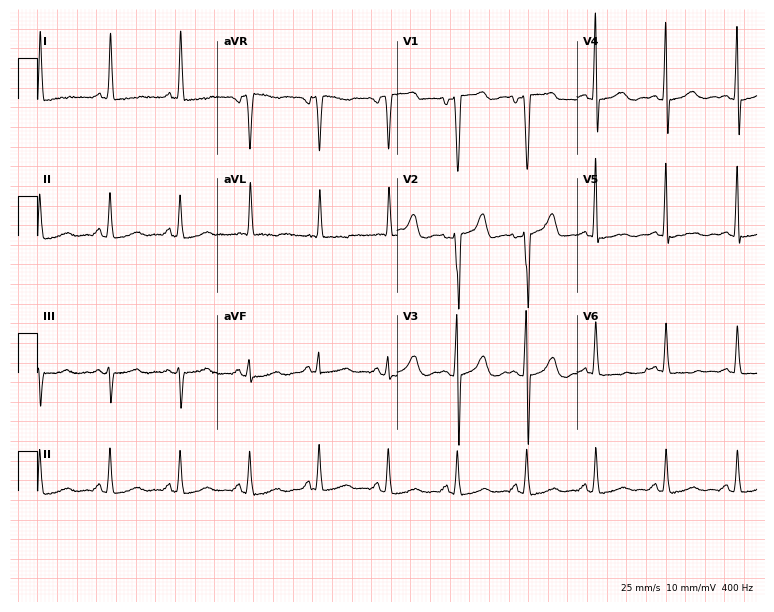
Standard 12-lead ECG recorded from a female, 45 years old. Read as a normal ECG.